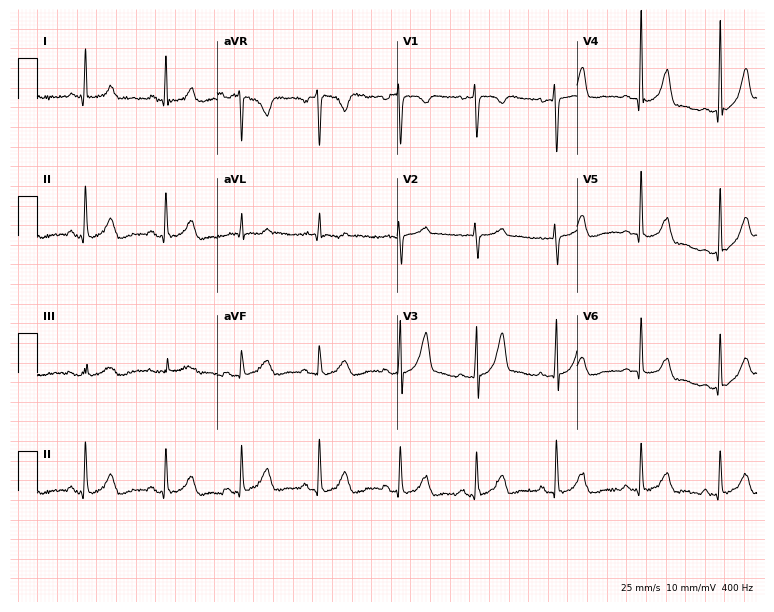
Standard 12-lead ECG recorded from a 36-year-old female patient. Read as a normal ECG.